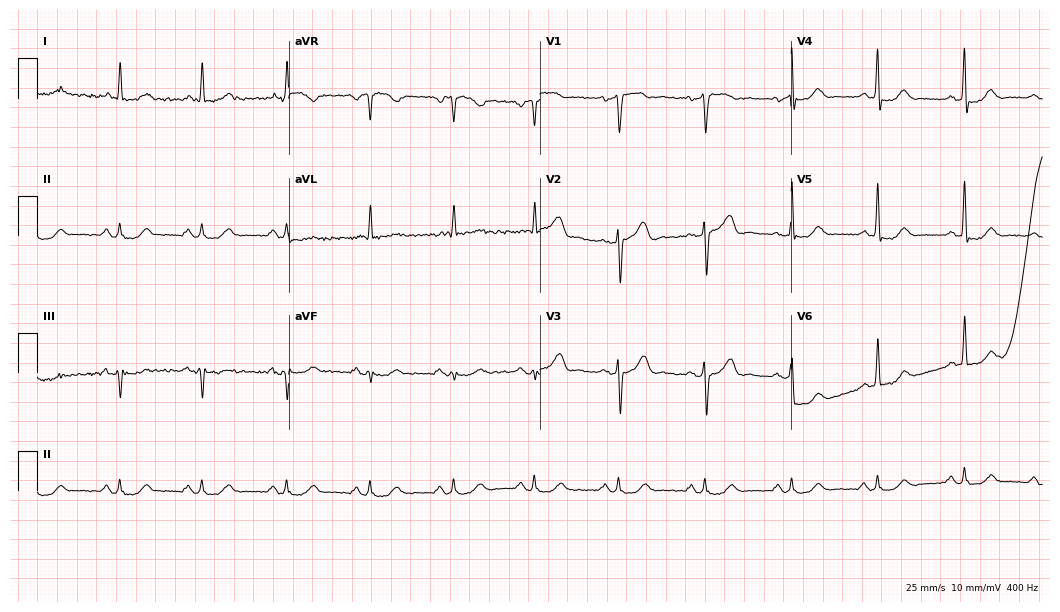
12-lead ECG from a woman, 74 years old (10.2-second recording at 400 Hz). No first-degree AV block, right bundle branch block (RBBB), left bundle branch block (LBBB), sinus bradycardia, atrial fibrillation (AF) or sinus tachycardia recorded for this tracing.